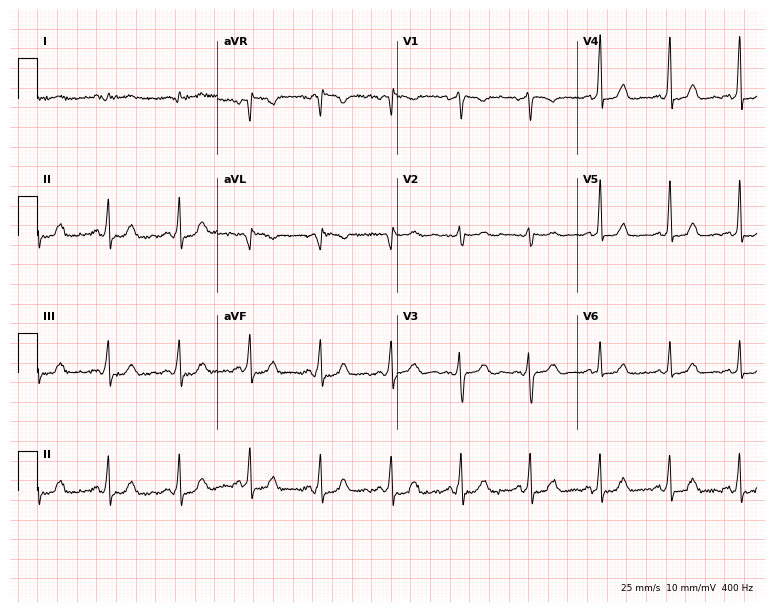
ECG — a female, 61 years old. Screened for six findings — first-degree AV block, right bundle branch block, left bundle branch block, sinus bradycardia, atrial fibrillation, sinus tachycardia — none is recorded.